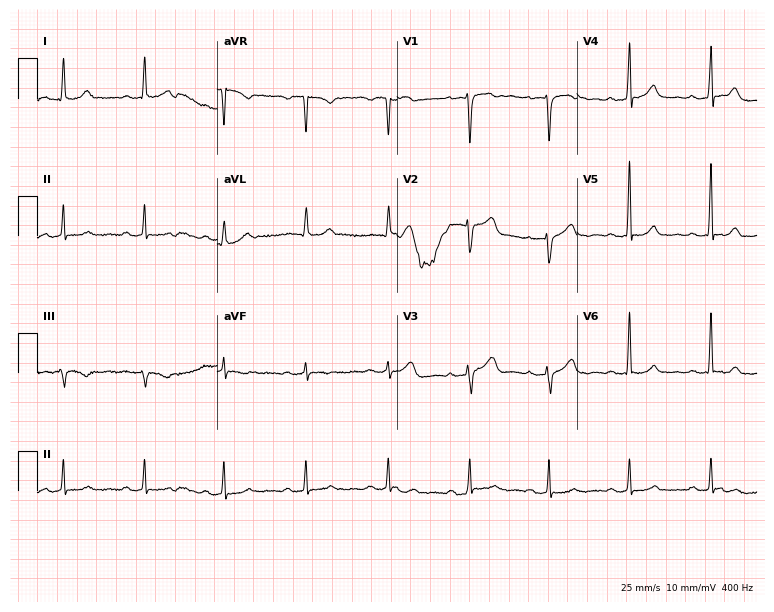
Electrocardiogram, a man, 58 years old. Of the six screened findings (first-degree AV block, right bundle branch block, left bundle branch block, sinus bradycardia, atrial fibrillation, sinus tachycardia), none is recorded.